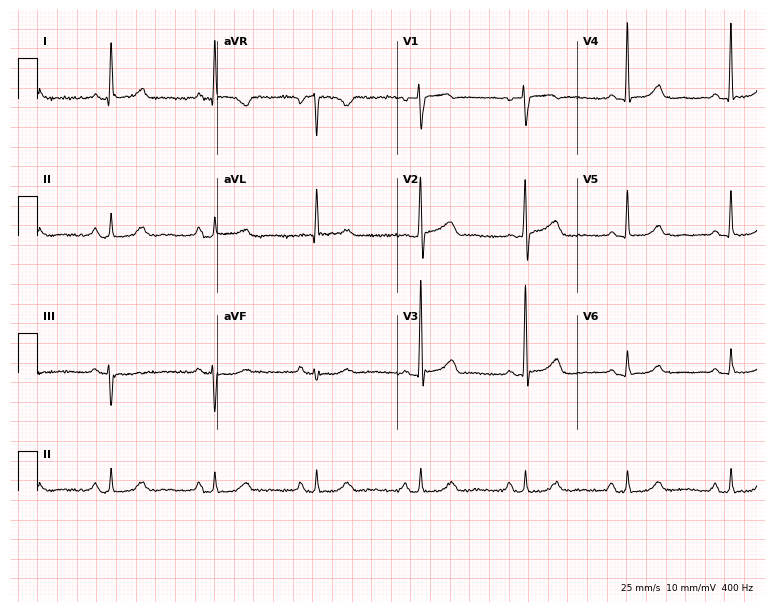
Standard 12-lead ECG recorded from a female patient, 64 years old. Read as a normal ECG.